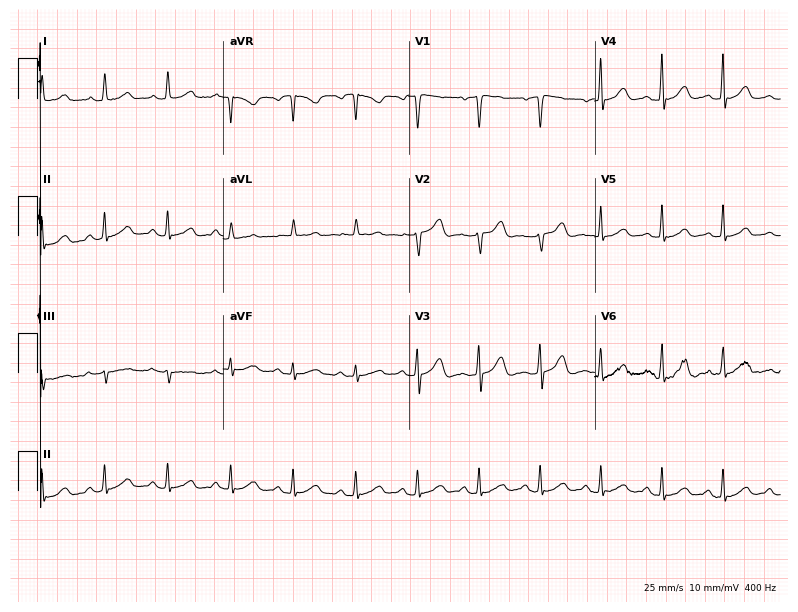
Resting 12-lead electrocardiogram (7.6-second recording at 400 Hz). Patient: a 55-year-old female. Read as a normal ECG.